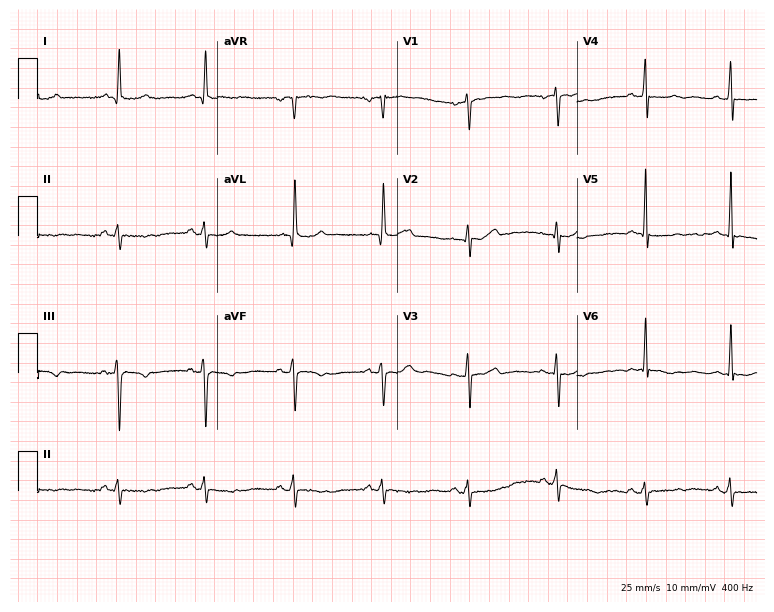
Standard 12-lead ECG recorded from a 59-year-old woman. None of these six findings is recorded: first-degree AV block, right bundle branch block, left bundle branch block, sinus bradycardia, atrial fibrillation, sinus tachycardia. Only these six findings were labelled.